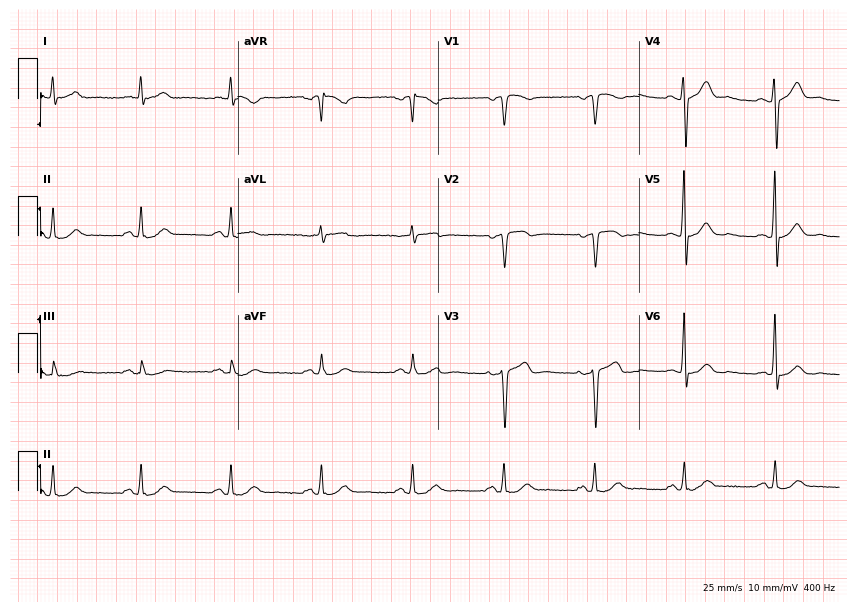
Standard 12-lead ECG recorded from a 62-year-old male (8.2-second recording at 400 Hz). Read as a normal ECG.